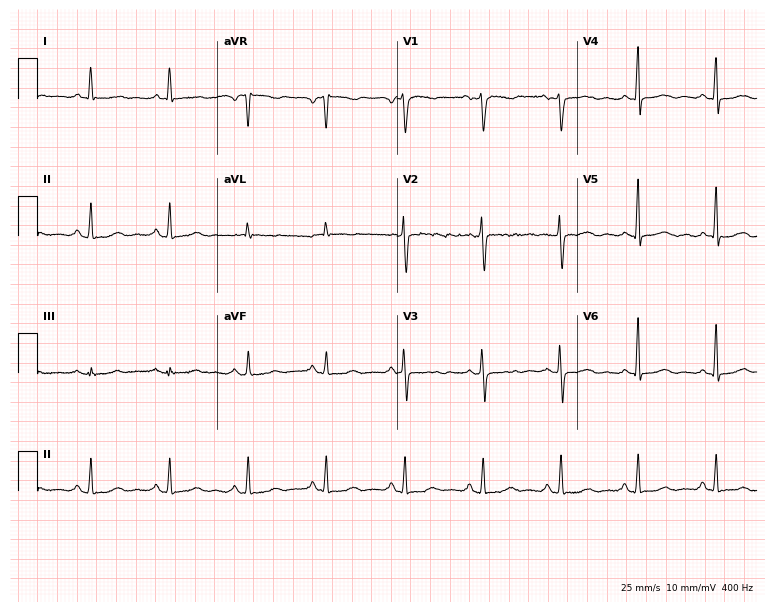
12-lead ECG from a 51-year-old male patient. Screened for six findings — first-degree AV block, right bundle branch block (RBBB), left bundle branch block (LBBB), sinus bradycardia, atrial fibrillation (AF), sinus tachycardia — none is recorded. Only these six findings were labelled.